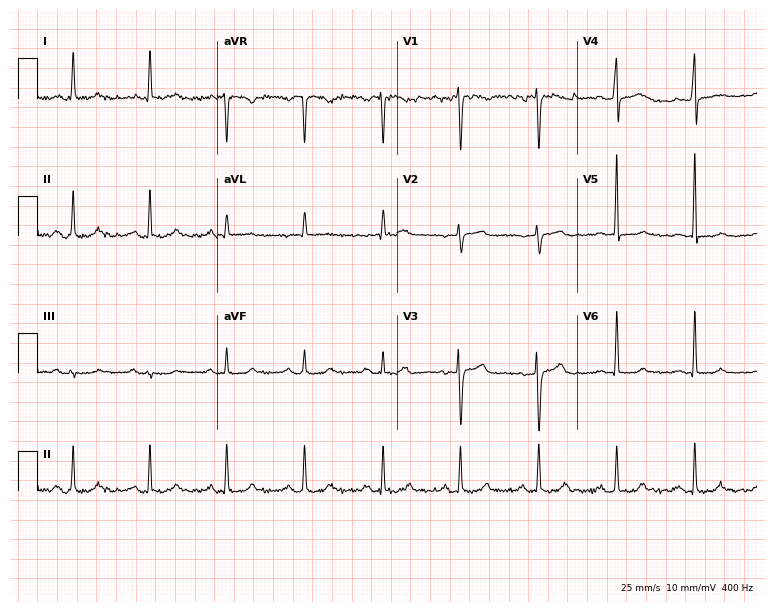
12-lead ECG from a 45-year-old female. No first-degree AV block, right bundle branch block, left bundle branch block, sinus bradycardia, atrial fibrillation or sinus tachycardia recorded for this tracing.